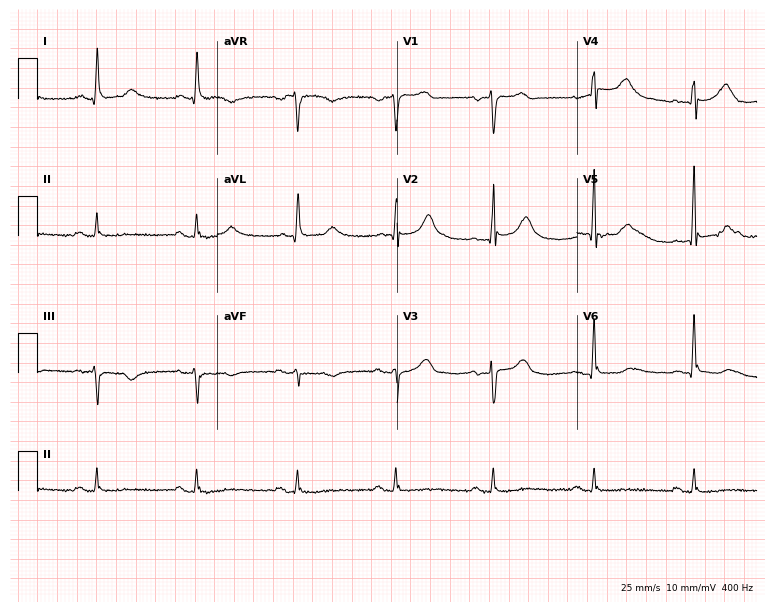
Electrocardiogram, a man, 86 years old. Of the six screened findings (first-degree AV block, right bundle branch block, left bundle branch block, sinus bradycardia, atrial fibrillation, sinus tachycardia), none is recorded. Findings outside these six are not listed.